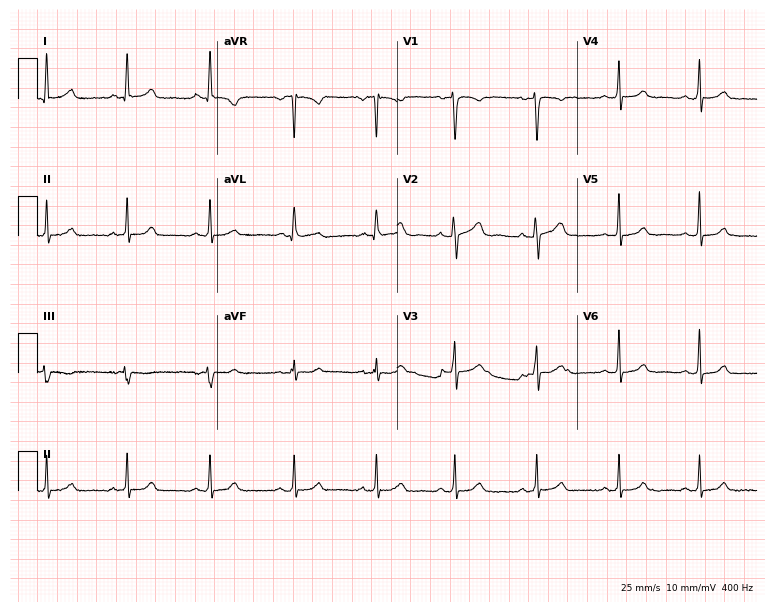
12-lead ECG from a 34-year-old female. Labelled as a normal ECG.